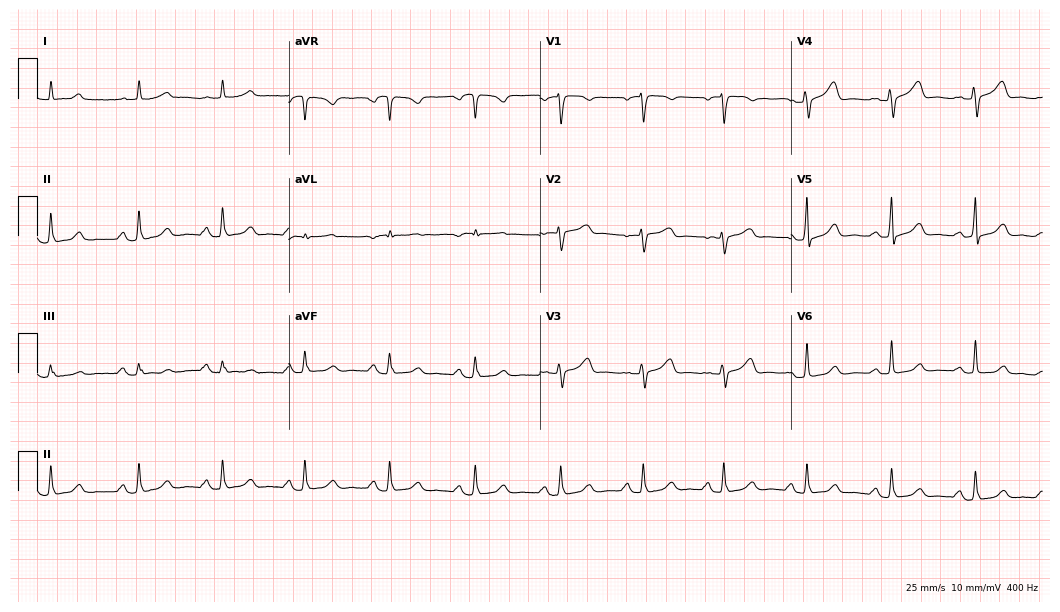
Electrocardiogram (10.2-second recording at 400 Hz), a 64-year-old female patient. Overall reading on record: normal ECG.